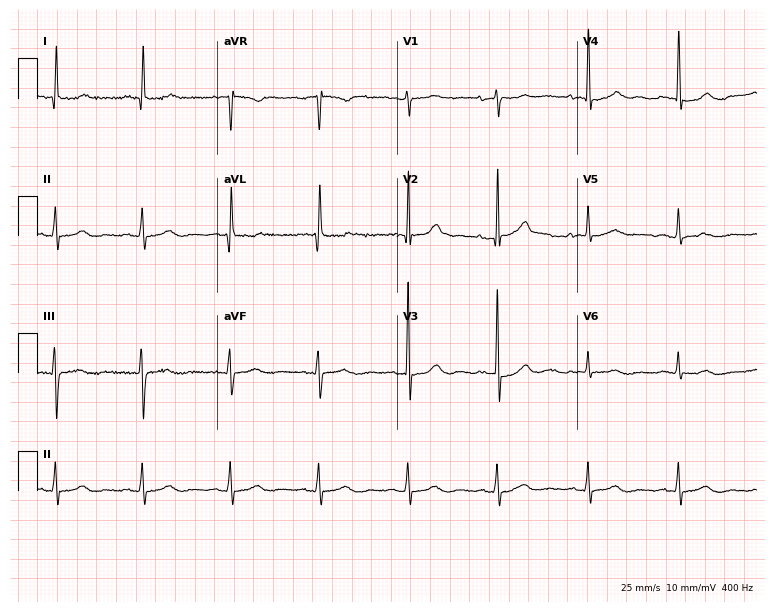
Resting 12-lead electrocardiogram. Patient: a 65-year-old female. Read as a normal ECG.